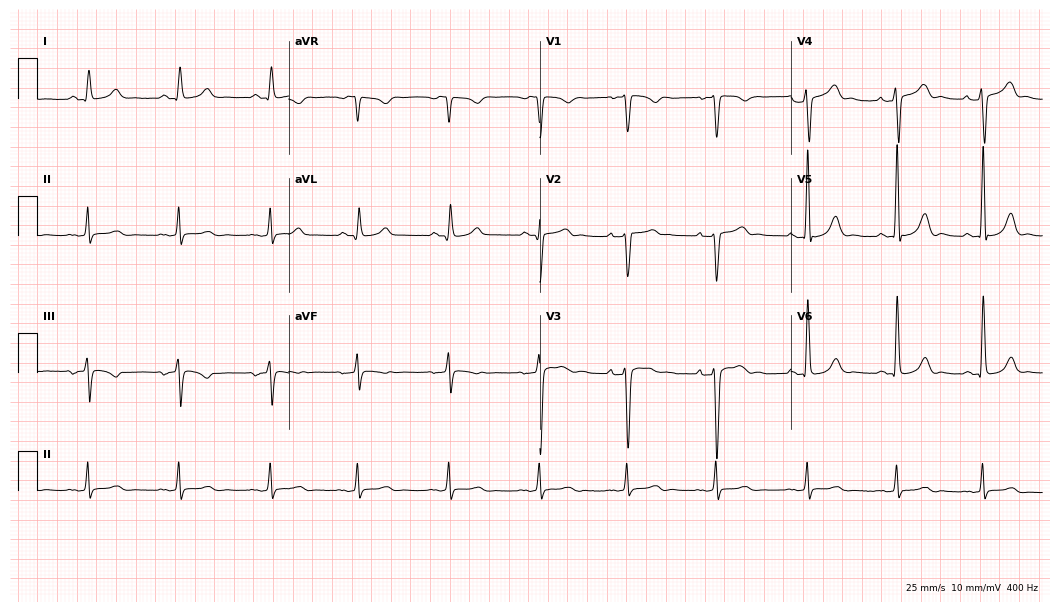
12-lead ECG (10.2-second recording at 400 Hz) from a 62-year-old man. Labelled as a normal ECG.